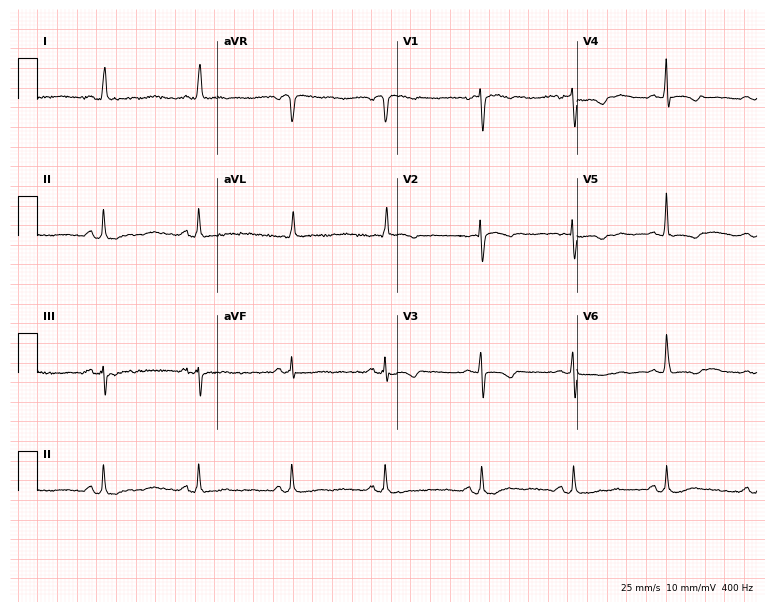
12-lead ECG (7.3-second recording at 400 Hz) from a female, 67 years old. Screened for six findings — first-degree AV block, right bundle branch block, left bundle branch block, sinus bradycardia, atrial fibrillation, sinus tachycardia — none is recorded. Other findings, if any, are not listed.